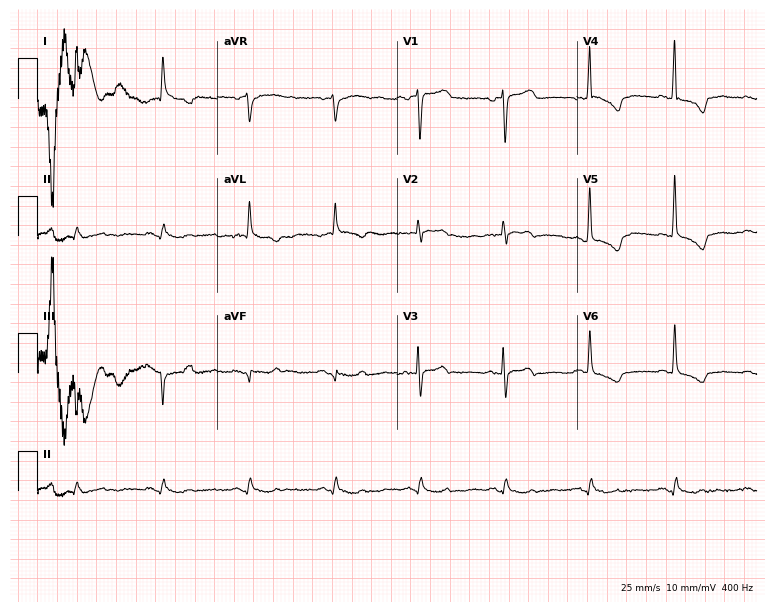
12-lead ECG (7.3-second recording at 400 Hz) from a woman, 76 years old. Screened for six findings — first-degree AV block, right bundle branch block, left bundle branch block, sinus bradycardia, atrial fibrillation, sinus tachycardia — none is recorded. Only these six findings were labelled.